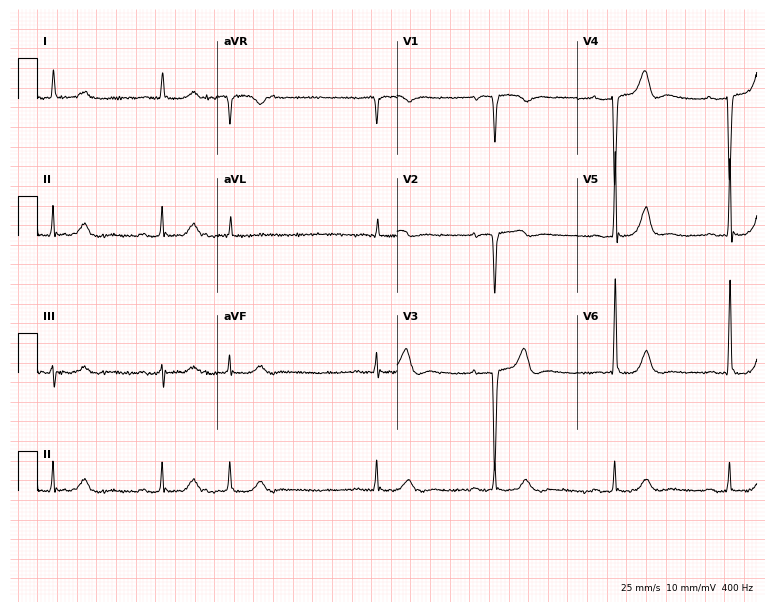
ECG (7.3-second recording at 400 Hz) — a male, 77 years old. Findings include first-degree AV block.